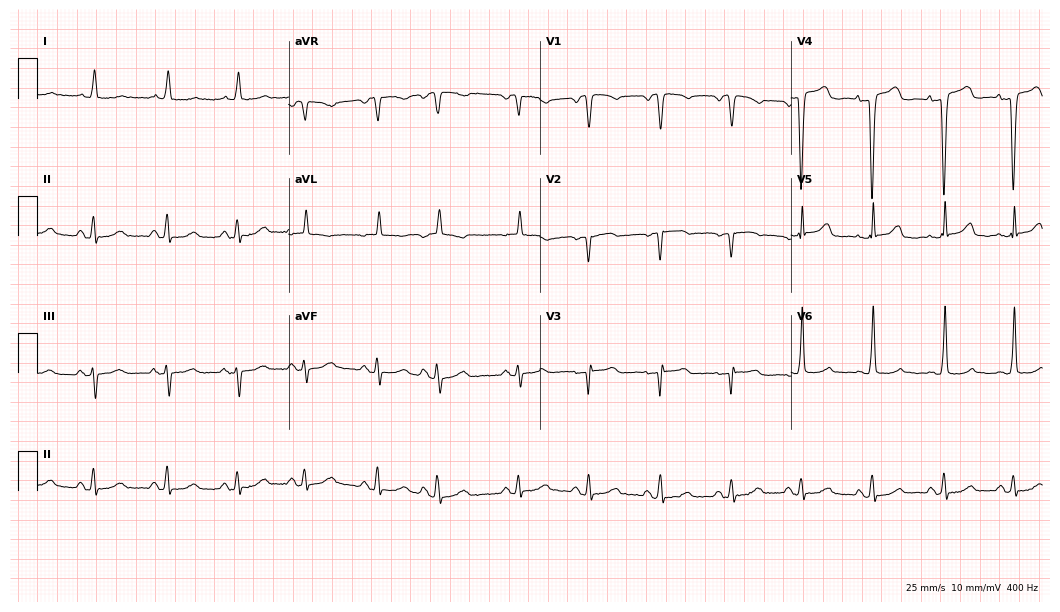
Resting 12-lead electrocardiogram. Patient: a 63-year-old female. None of these six findings is recorded: first-degree AV block, right bundle branch block (RBBB), left bundle branch block (LBBB), sinus bradycardia, atrial fibrillation (AF), sinus tachycardia. Findings outside these six are not listed.